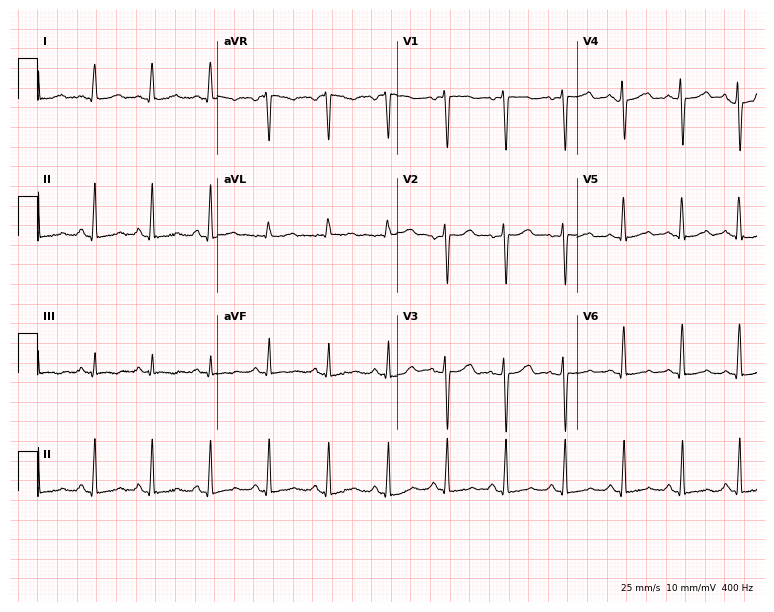
12-lead ECG (7.3-second recording at 400 Hz) from a 37-year-old female. Screened for six findings — first-degree AV block, right bundle branch block (RBBB), left bundle branch block (LBBB), sinus bradycardia, atrial fibrillation (AF), sinus tachycardia — none is recorded.